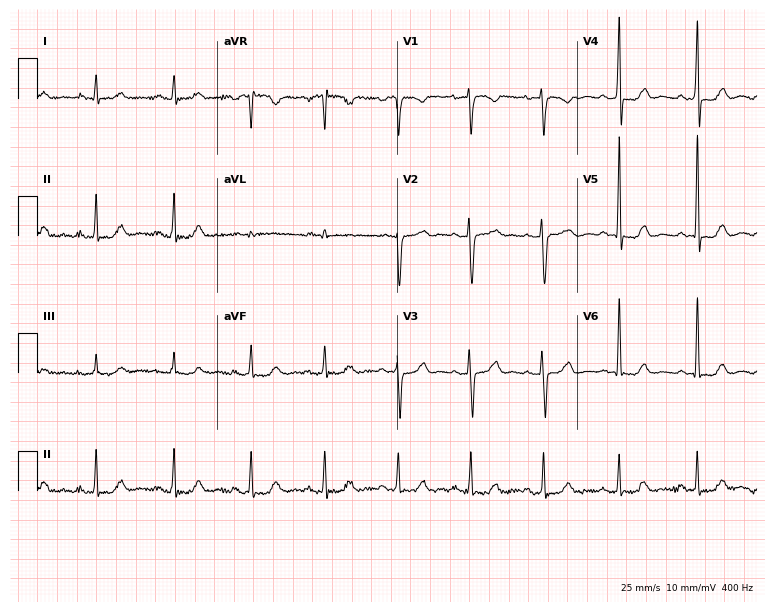
12-lead ECG from a 58-year-old female. No first-degree AV block, right bundle branch block, left bundle branch block, sinus bradycardia, atrial fibrillation or sinus tachycardia recorded for this tracing. Only these six findings were labelled.